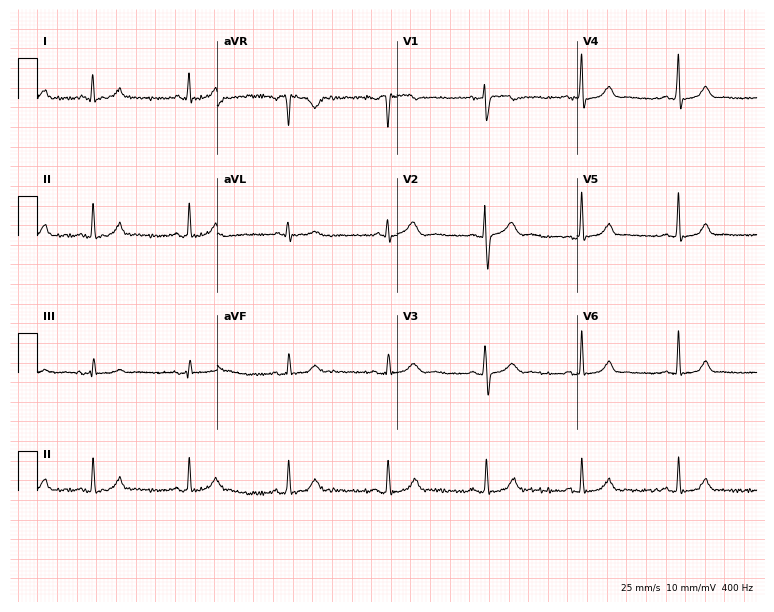
ECG (7.3-second recording at 400 Hz) — a 25-year-old female. Screened for six findings — first-degree AV block, right bundle branch block, left bundle branch block, sinus bradycardia, atrial fibrillation, sinus tachycardia — none is recorded. Only these six findings were labelled.